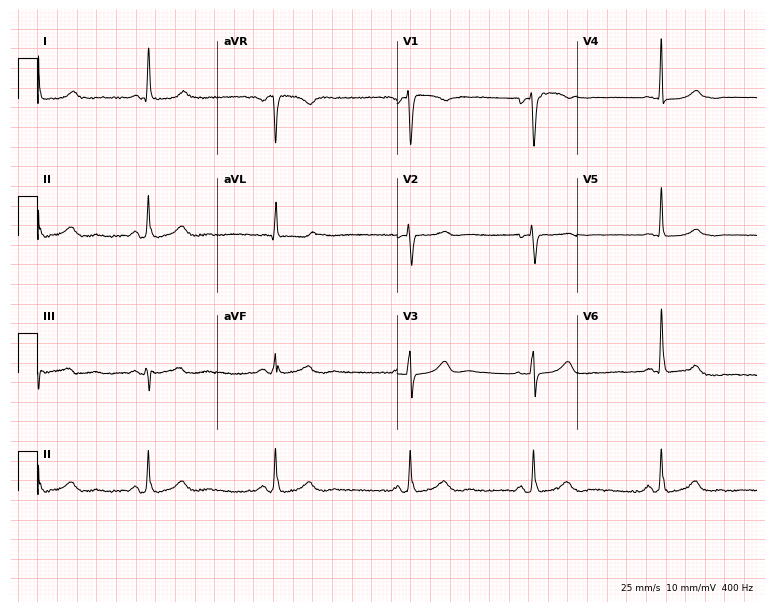
Electrocardiogram (7.3-second recording at 400 Hz), a 56-year-old female. Interpretation includes sinus bradycardia (a sinus rate of 50 beats per minute or less).